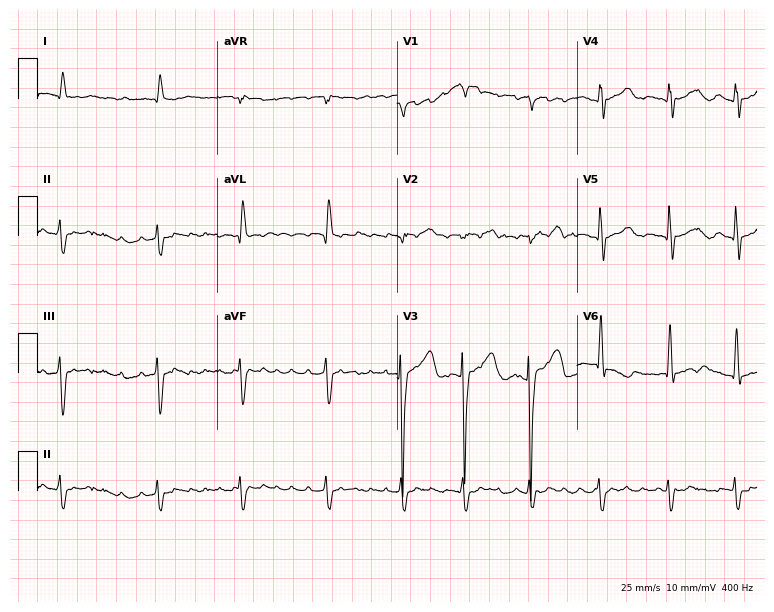
ECG (7.3-second recording at 400 Hz) — a 78-year-old woman. Findings include atrial fibrillation.